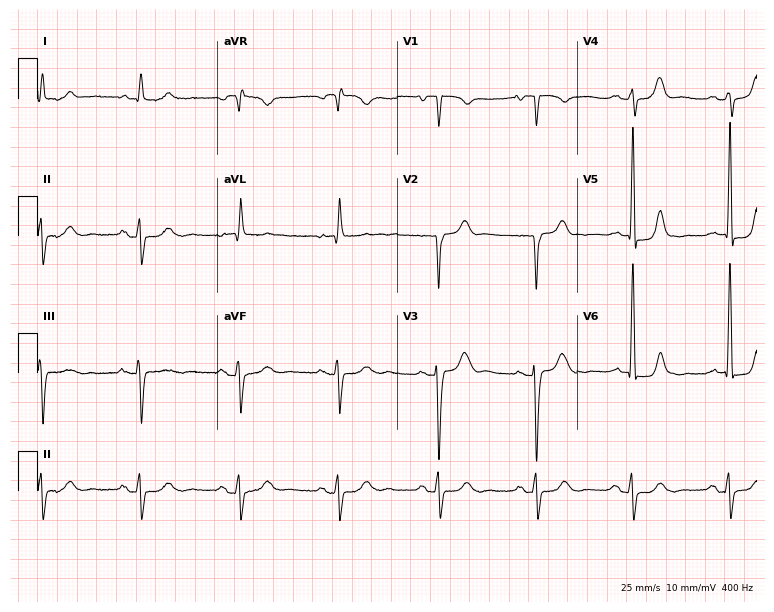
12-lead ECG from an 86-year-old woman. No first-degree AV block, right bundle branch block, left bundle branch block, sinus bradycardia, atrial fibrillation or sinus tachycardia recorded for this tracing.